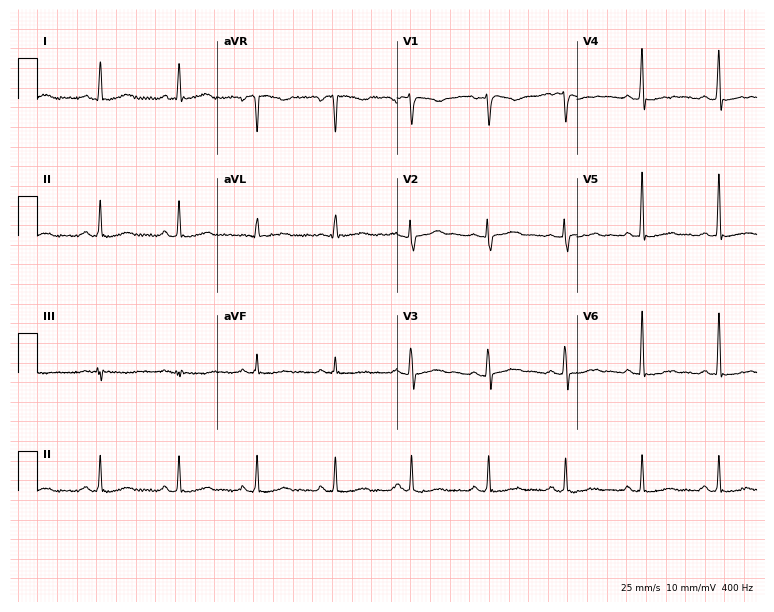
Resting 12-lead electrocardiogram. Patient: a female, 50 years old. None of these six findings is recorded: first-degree AV block, right bundle branch block, left bundle branch block, sinus bradycardia, atrial fibrillation, sinus tachycardia.